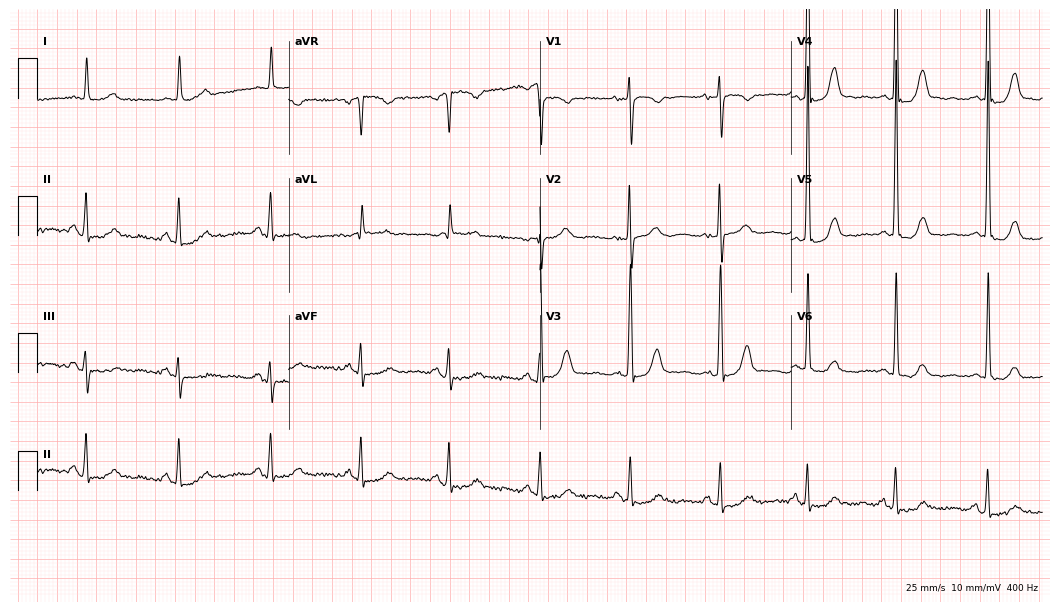
Resting 12-lead electrocardiogram (10.2-second recording at 400 Hz). Patient: a female, 75 years old. Read as a normal ECG.